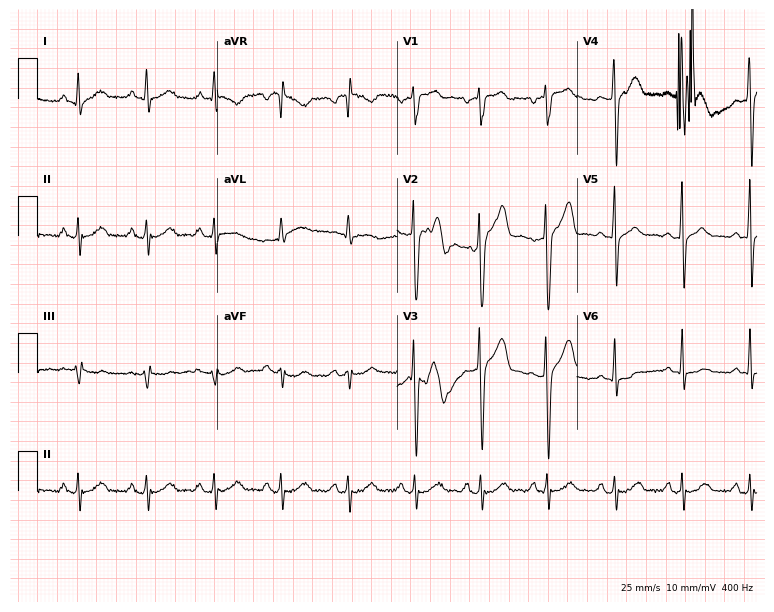
ECG — a male patient, 35 years old. Screened for six findings — first-degree AV block, right bundle branch block, left bundle branch block, sinus bradycardia, atrial fibrillation, sinus tachycardia — none is recorded. Findings outside these six are not listed.